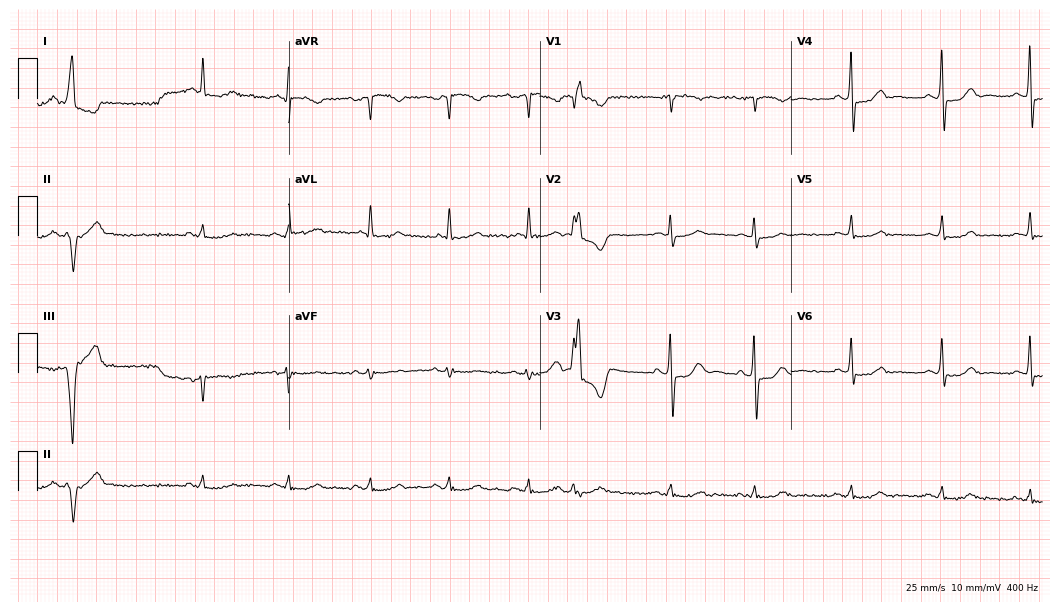
ECG (10.2-second recording at 400 Hz) — a male patient, 74 years old. Screened for six findings — first-degree AV block, right bundle branch block (RBBB), left bundle branch block (LBBB), sinus bradycardia, atrial fibrillation (AF), sinus tachycardia — none is recorded. Findings outside these six are not listed.